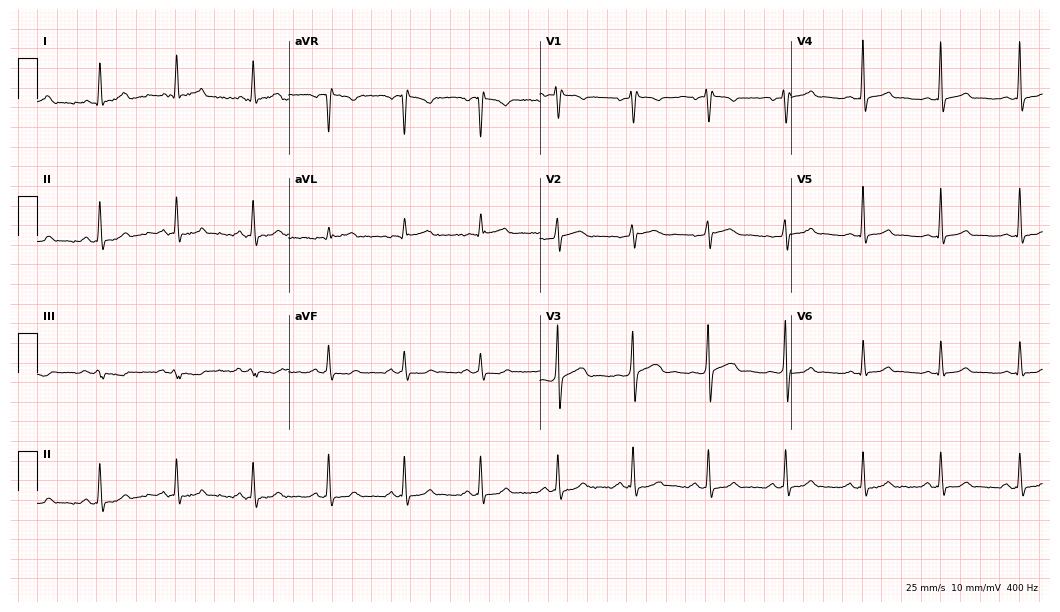
12-lead ECG from a 60-year-old male patient. No first-degree AV block, right bundle branch block, left bundle branch block, sinus bradycardia, atrial fibrillation or sinus tachycardia recorded for this tracing.